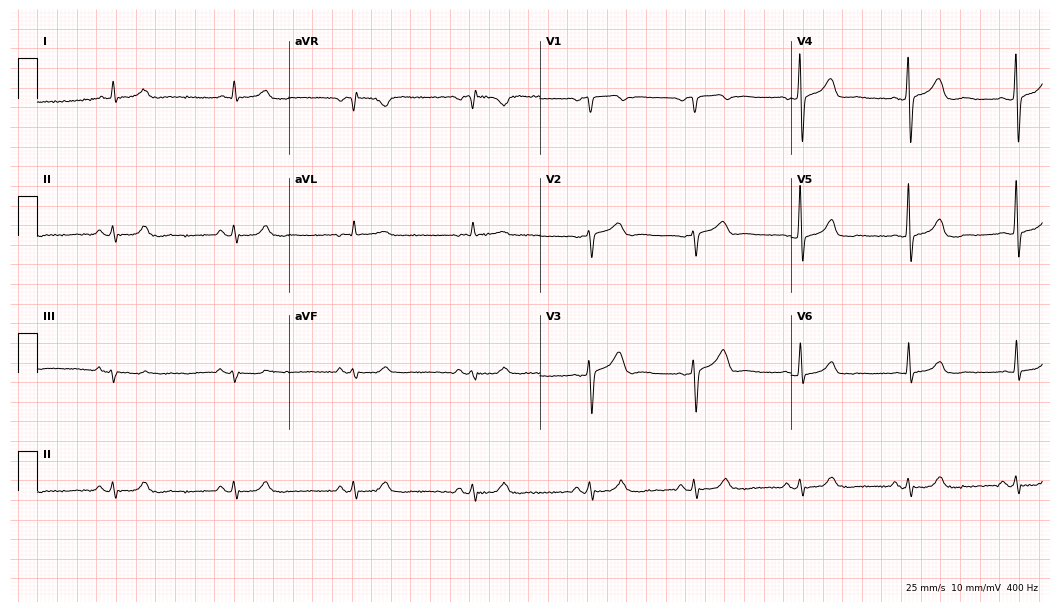
12-lead ECG from a male patient, 71 years old. No first-degree AV block, right bundle branch block, left bundle branch block, sinus bradycardia, atrial fibrillation or sinus tachycardia recorded for this tracing. Only these six findings were labelled.